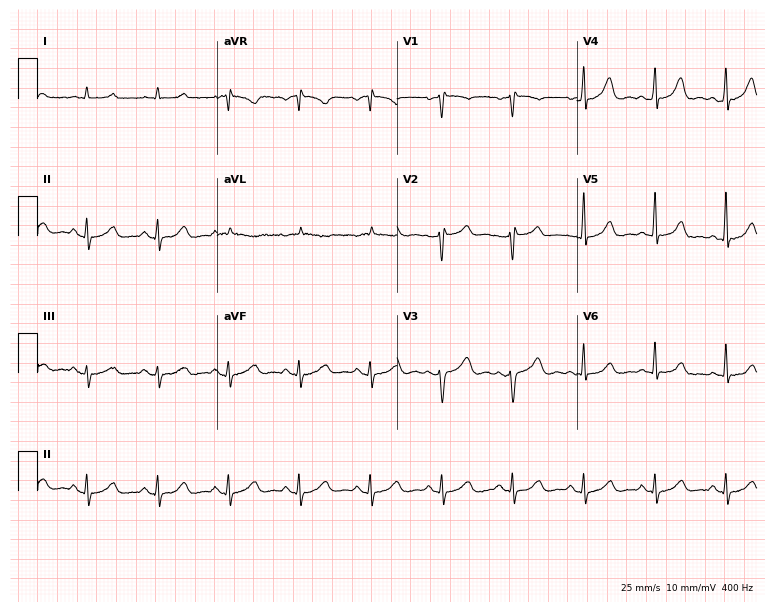
Electrocardiogram (7.3-second recording at 400 Hz), a 62-year-old female. Of the six screened findings (first-degree AV block, right bundle branch block, left bundle branch block, sinus bradycardia, atrial fibrillation, sinus tachycardia), none is recorded. Findings outside these six are not listed.